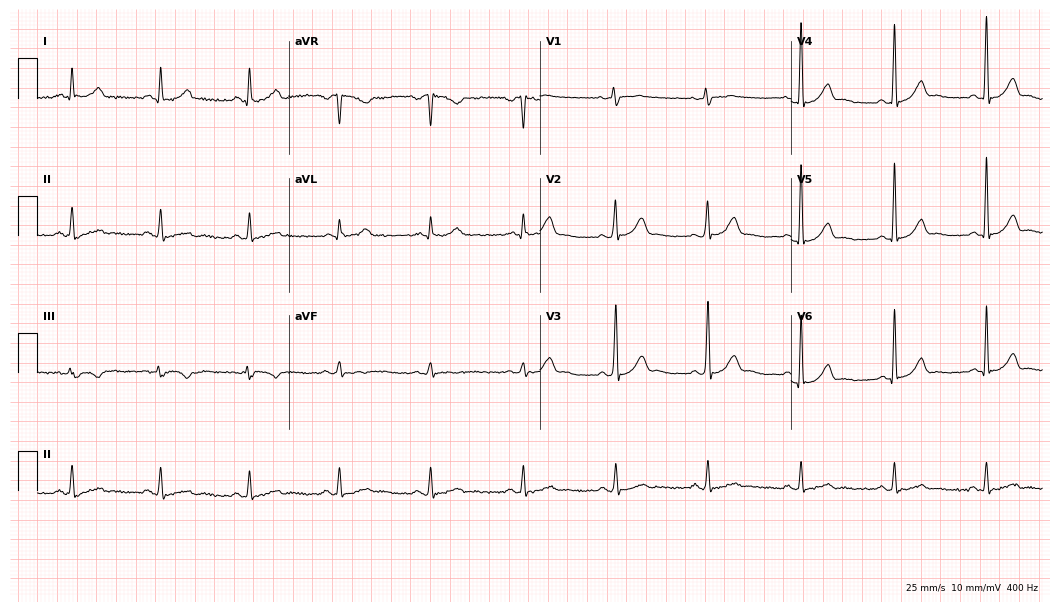
ECG (10.2-second recording at 400 Hz) — a 55-year-old male patient. Labelled as a normal ECG.